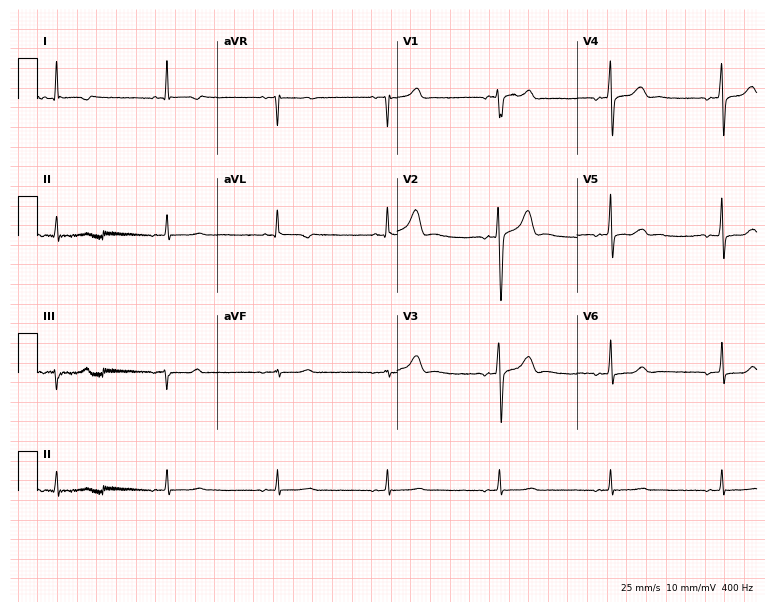
Resting 12-lead electrocardiogram (7.3-second recording at 400 Hz). Patient: a man, 77 years old. None of these six findings is recorded: first-degree AV block, right bundle branch block (RBBB), left bundle branch block (LBBB), sinus bradycardia, atrial fibrillation (AF), sinus tachycardia.